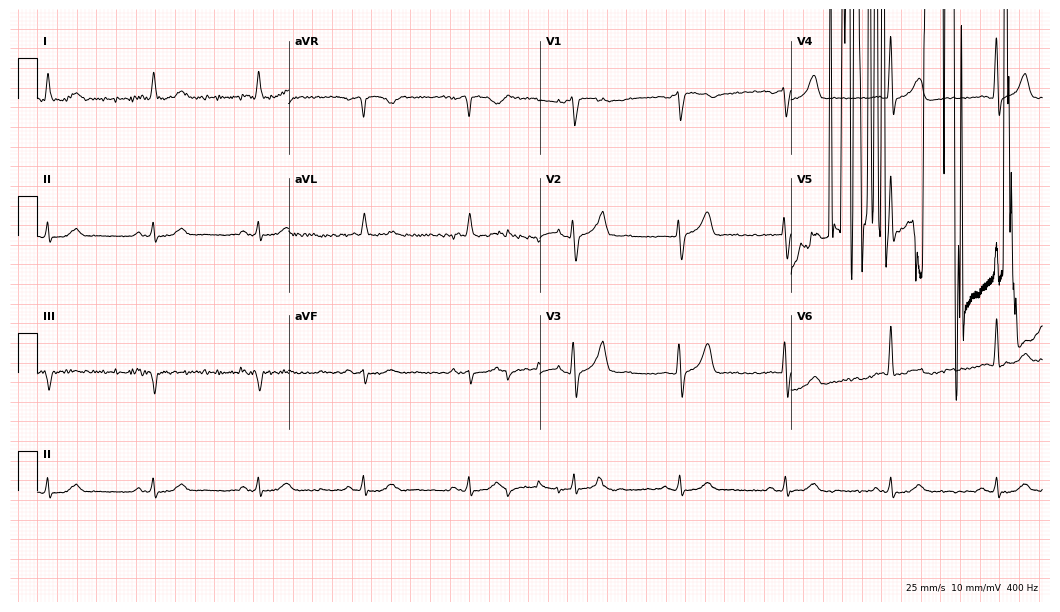
Electrocardiogram (10.2-second recording at 400 Hz), a male, 75 years old. Interpretation includes atrial fibrillation (AF).